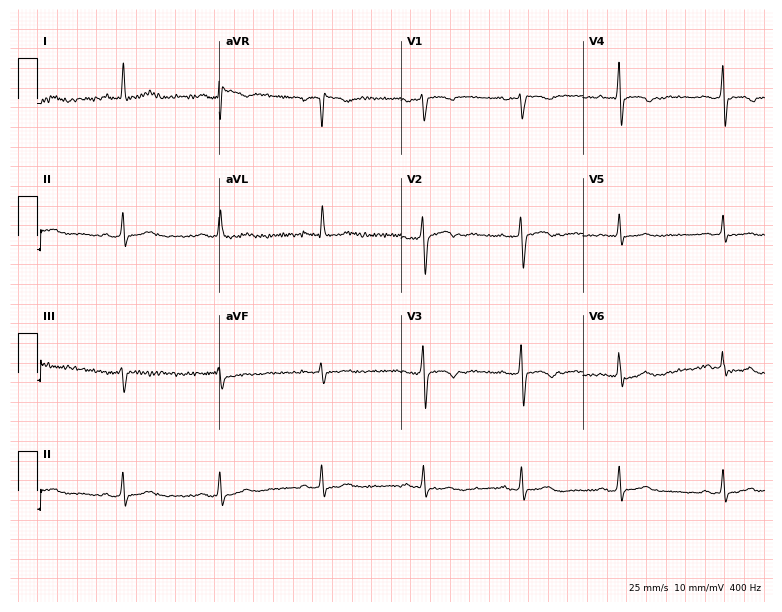
12-lead ECG (7.4-second recording at 400 Hz) from a female, 23 years old. Screened for six findings — first-degree AV block, right bundle branch block (RBBB), left bundle branch block (LBBB), sinus bradycardia, atrial fibrillation (AF), sinus tachycardia — none is recorded. Other findings, if any, are not listed.